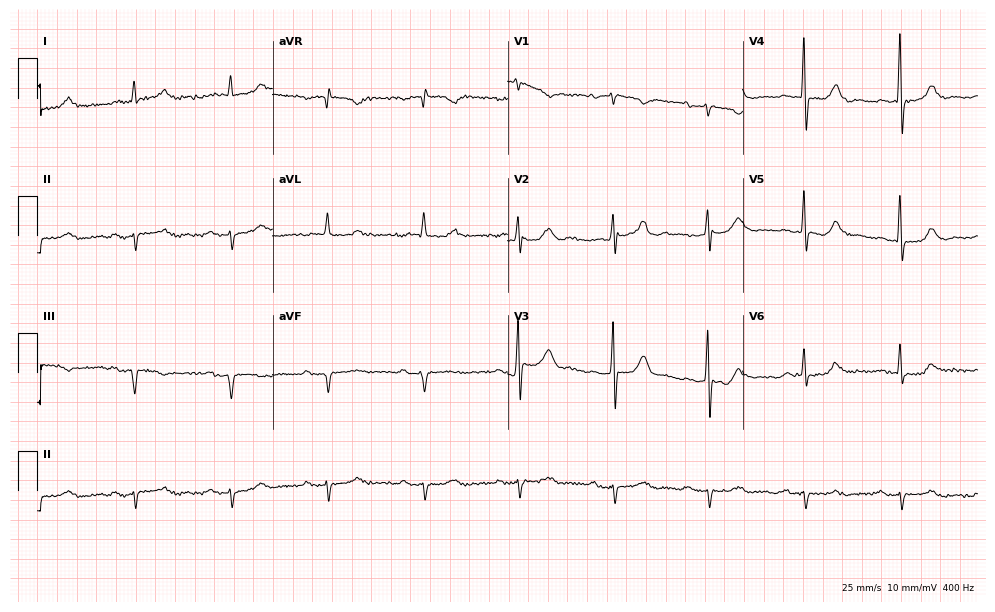
12-lead ECG from an 83-year-old male patient. Screened for six findings — first-degree AV block, right bundle branch block (RBBB), left bundle branch block (LBBB), sinus bradycardia, atrial fibrillation (AF), sinus tachycardia — none is recorded. Other findings, if any, are not listed.